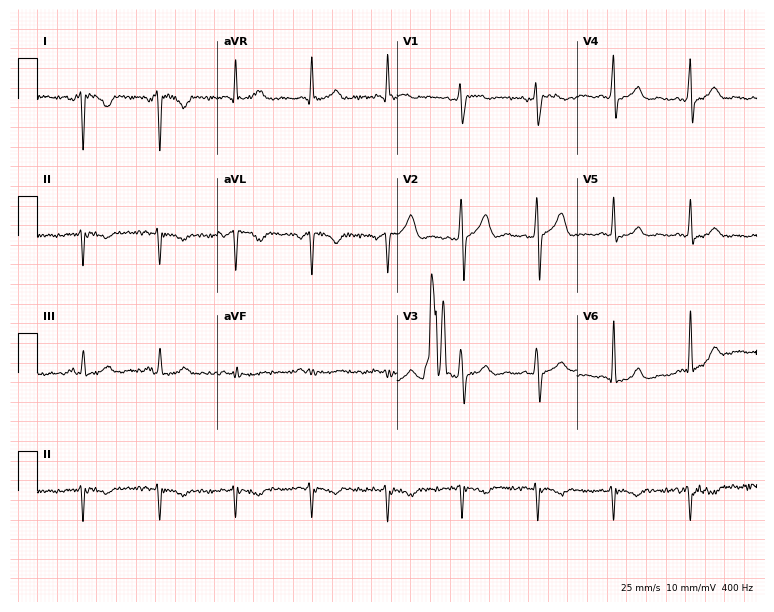
12-lead ECG from a female patient, 54 years old (7.3-second recording at 400 Hz). No first-degree AV block, right bundle branch block (RBBB), left bundle branch block (LBBB), sinus bradycardia, atrial fibrillation (AF) or sinus tachycardia recorded for this tracing. Other findings, if any, are not listed.